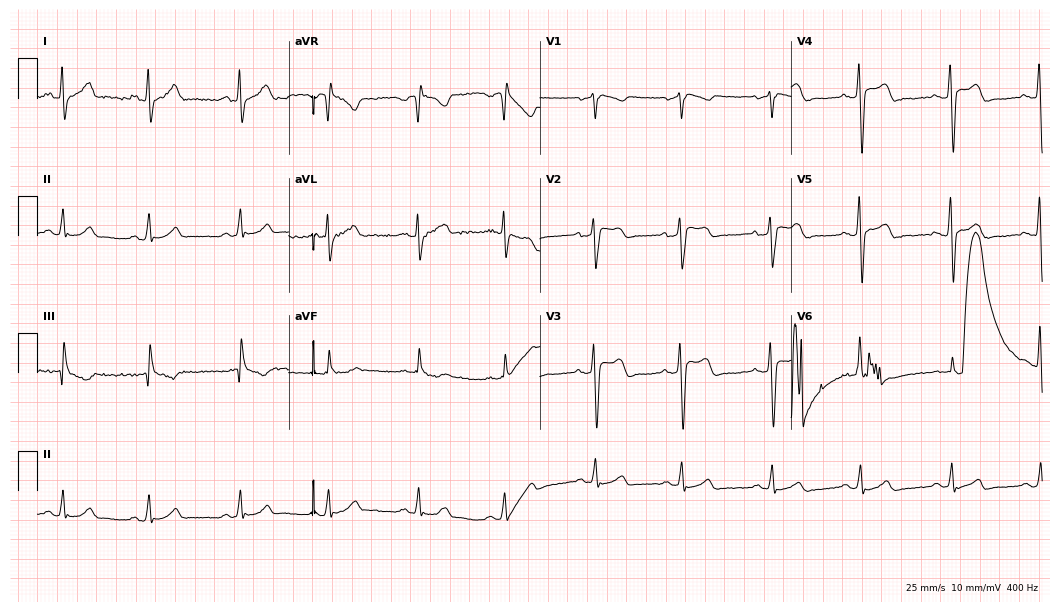
Standard 12-lead ECG recorded from a male patient, 39 years old. None of these six findings is recorded: first-degree AV block, right bundle branch block, left bundle branch block, sinus bradycardia, atrial fibrillation, sinus tachycardia.